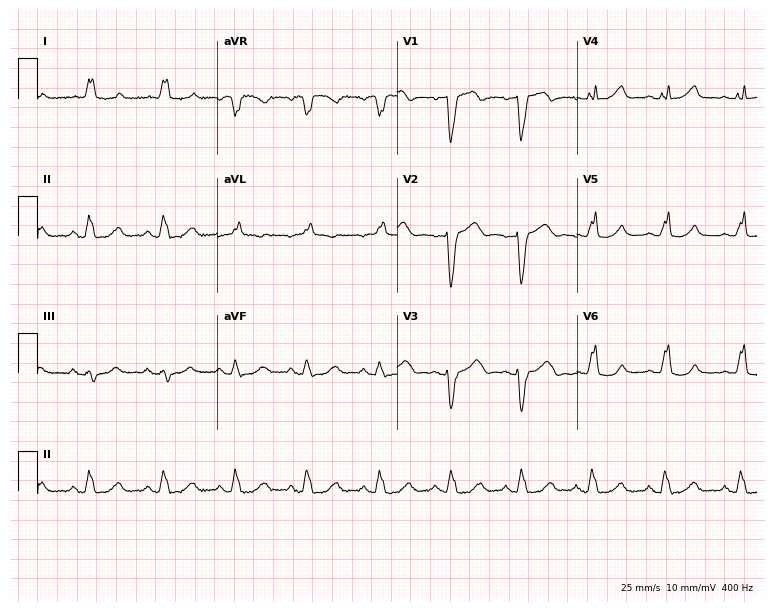
Standard 12-lead ECG recorded from a 46-year-old female patient. The tracing shows left bundle branch block.